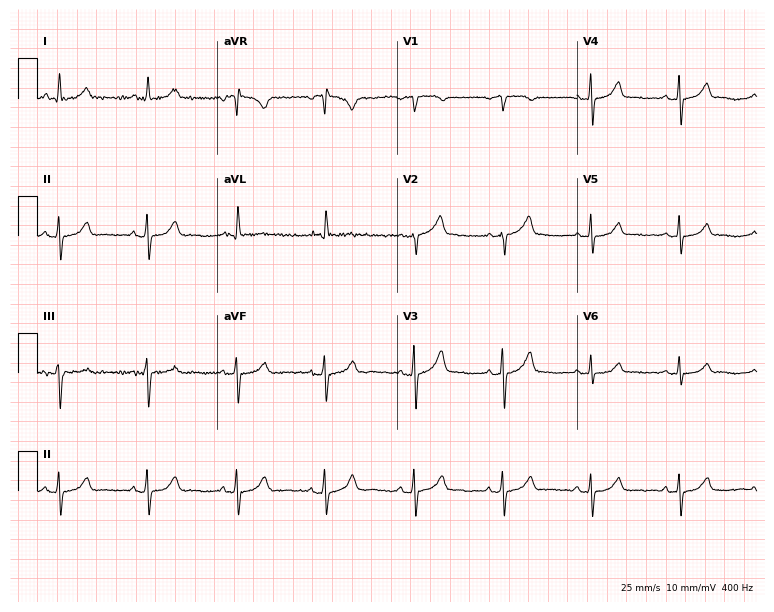
12-lead ECG (7.3-second recording at 400 Hz) from a 69-year-old male. Screened for six findings — first-degree AV block, right bundle branch block (RBBB), left bundle branch block (LBBB), sinus bradycardia, atrial fibrillation (AF), sinus tachycardia — none is recorded. Findings outside these six are not listed.